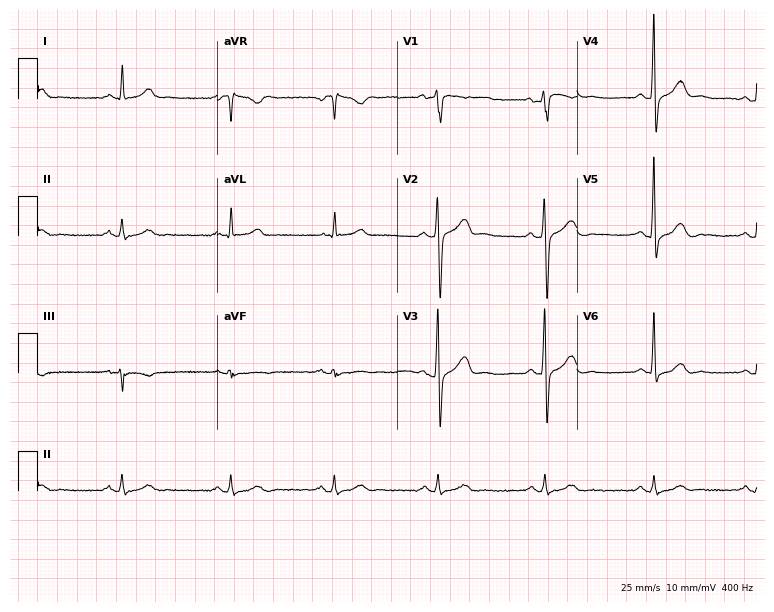
12-lead ECG (7.3-second recording at 400 Hz) from a 47-year-old man. Labelled as a normal ECG.